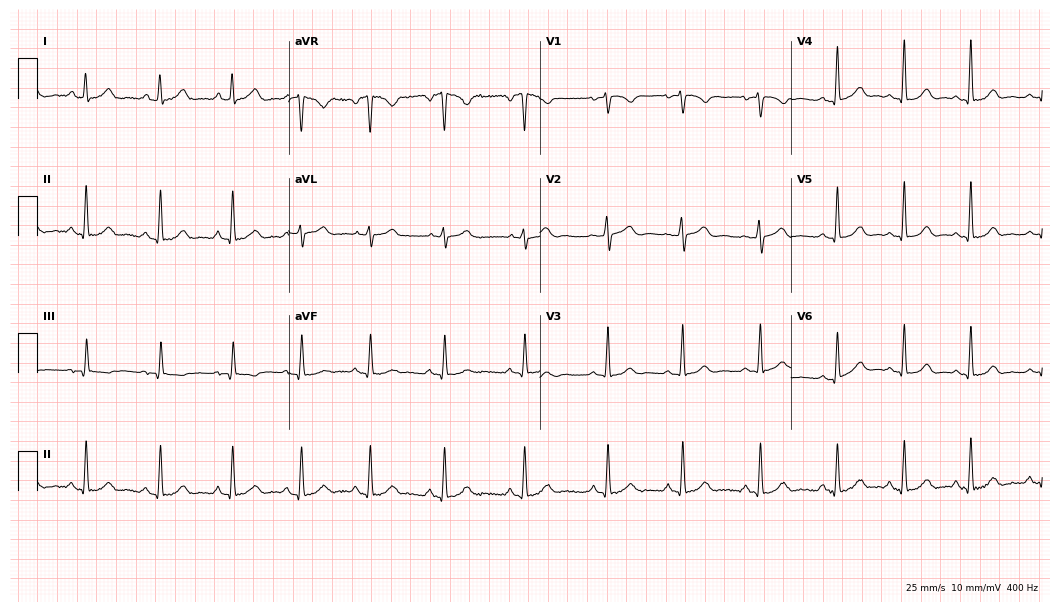
Resting 12-lead electrocardiogram. Patient: a 38-year-old woman. Read as a normal ECG.